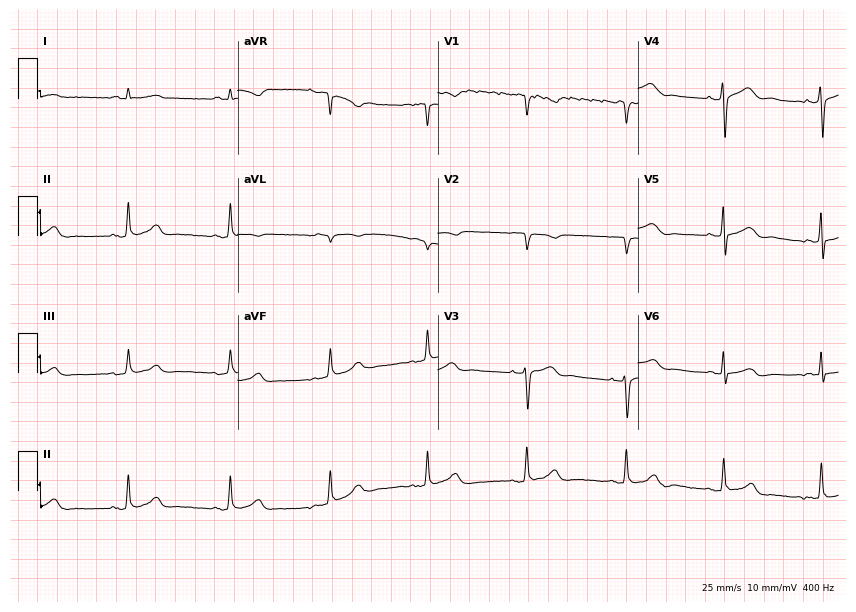
12-lead ECG from a 69-year-old male patient. No first-degree AV block, right bundle branch block, left bundle branch block, sinus bradycardia, atrial fibrillation or sinus tachycardia recorded for this tracing. Findings outside these six are not listed.